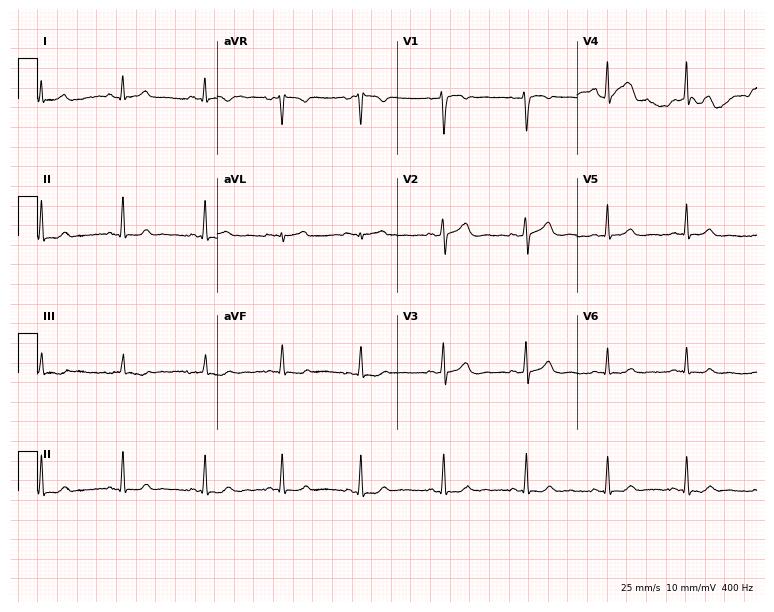
Standard 12-lead ECG recorded from a 33-year-old woman. None of these six findings is recorded: first-degree AV block, right bundle branch block (RBBB), left bundle branch block (LBBB), sinus bradycardia, atrial fibrillation (AF), sinus tachycardia. Findings outside these six are not listed.